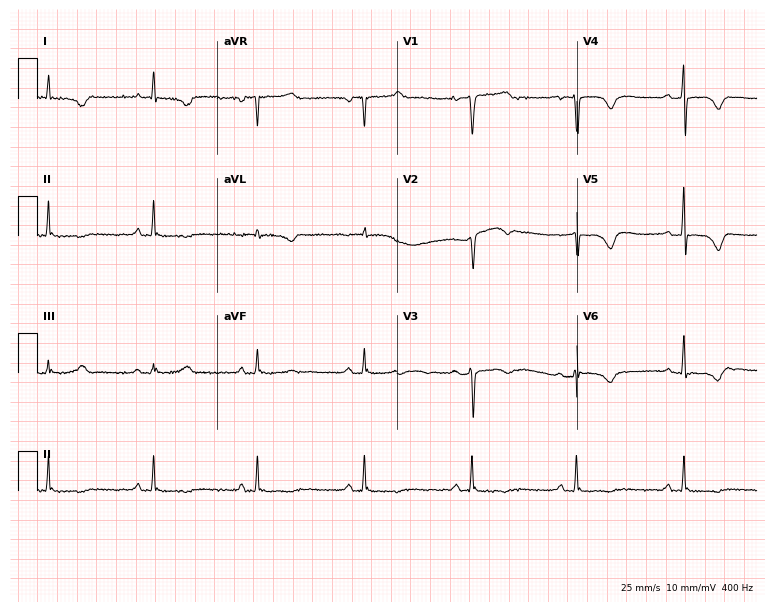
Electrocardiogram (7.3-second recording at 400 Hz), a 61-year-old woman. Of the six screened findings (first-degree AV block, right bundle branch block, left bundle branch block, sinus bradycardia, atrial fibrillation, sinus tachycardia), none is recorded. Findings outside these six are not listed.